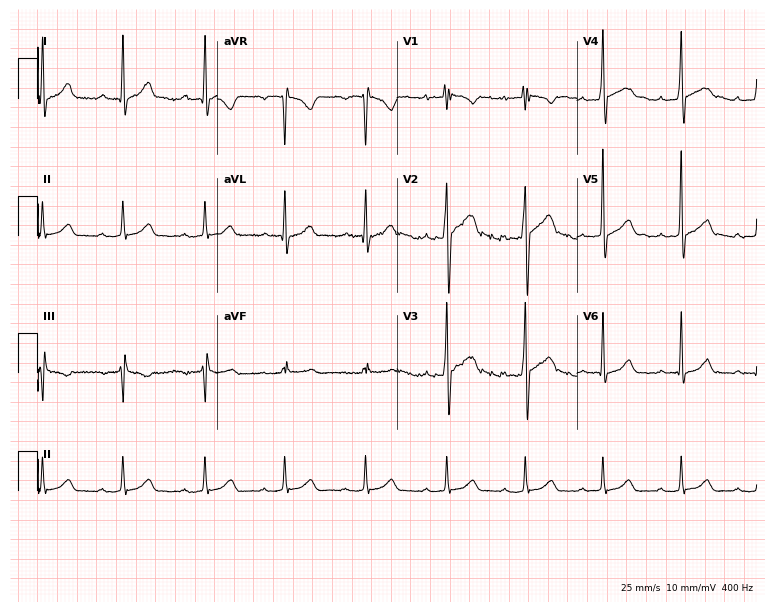
ECG (7.3-second recording at 400 Hz) — a male, 31 years old. Screened for six findings — first-degree AV block, right bundle branch block, left bundle branch block, sinus bradycardia, atrial fibrillation, sinus tachycardia — none is recorded. Findings outside these six are not listed.